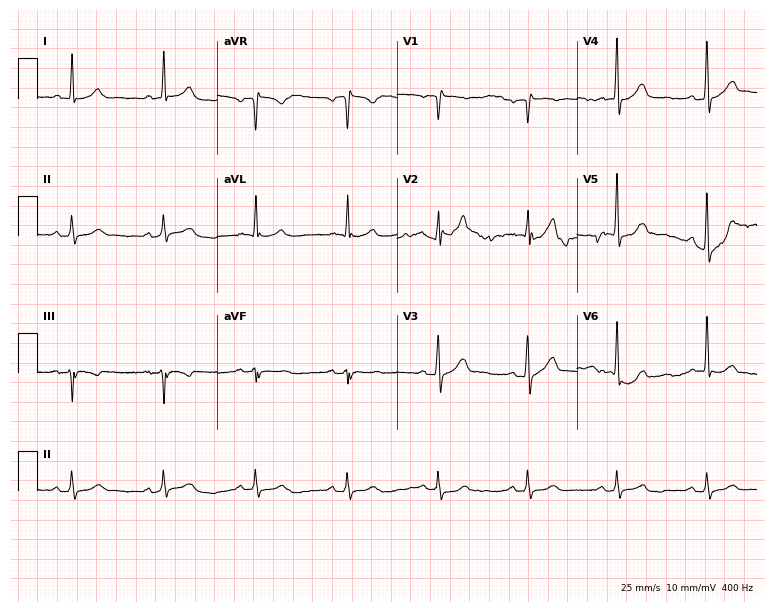
12-lead ECG (7.3-second recording at 400 Hz) from a male patient, 61 years old. Screened for six findings — first-degree AV block, right bundle branch block (RBBB), left bundle branch block (LBBB), sinus bradycardia, atrial fibrillation (AF), sinus tachycardia — none is recorded.